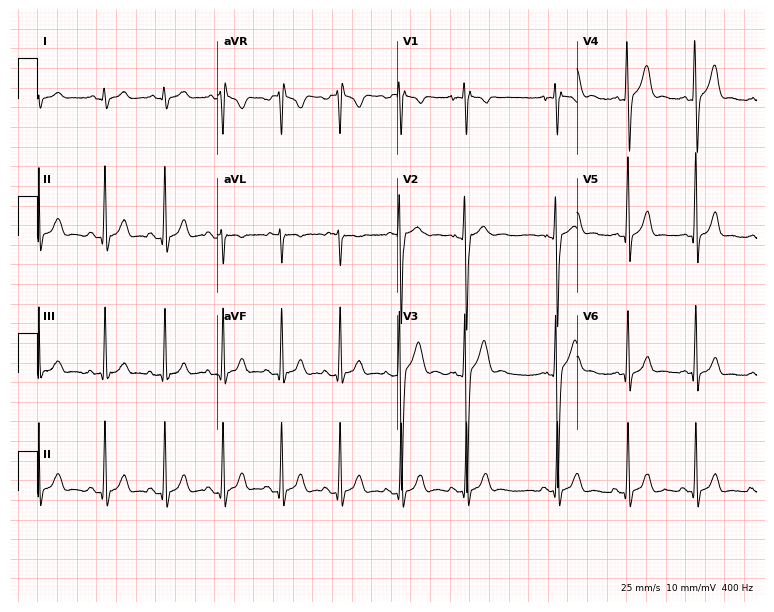
ECG (7.3-second recording at 400 Hz) — a man, 21 years old. Screened for six findings — first-degree AV block, right bundle branch block, left bundle branch block, sinus bradycardia, atrial fibrillation, sinus tachycardia — none is recorded.